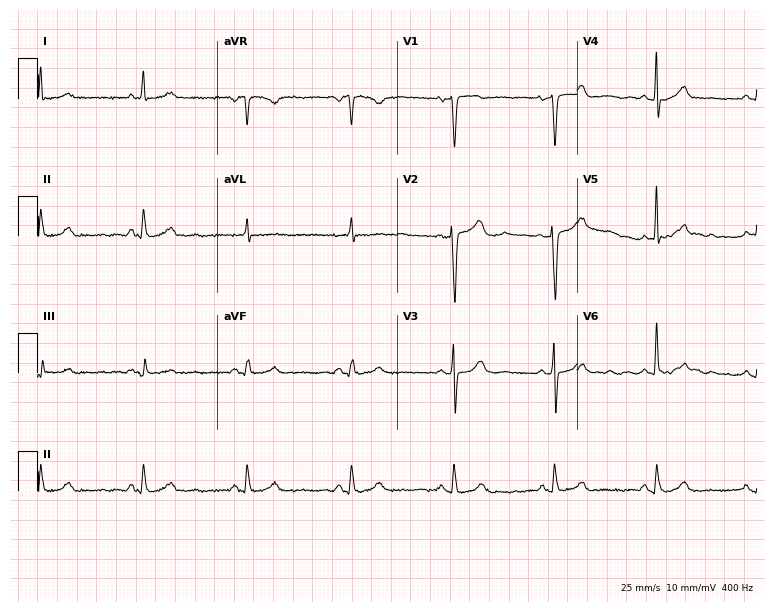
Standard 12-lead ECG recorded from a 59-year-old woman (7.3-second recording at 400 Hz). Read as a normal ECG.